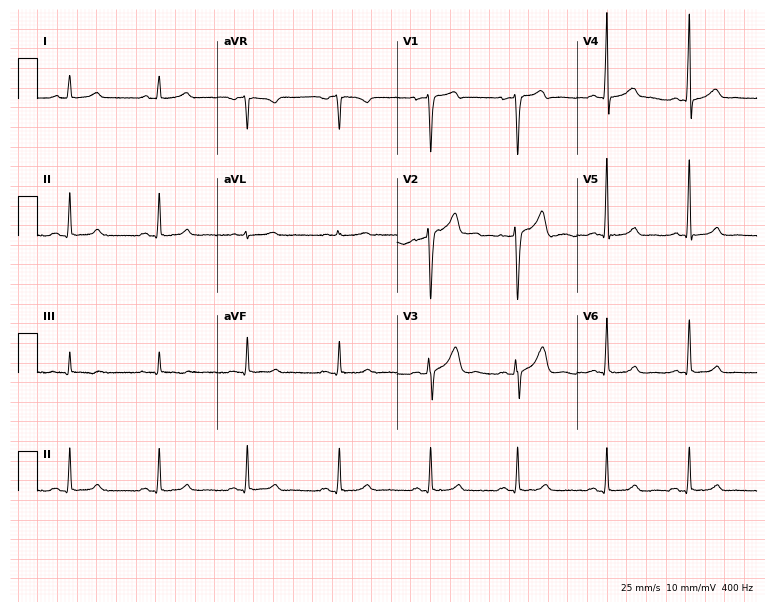
Electrocardiogram (7.3-second recording at 400 Hz), a woman, 44 years old. Overall reading on record: normal ECG.